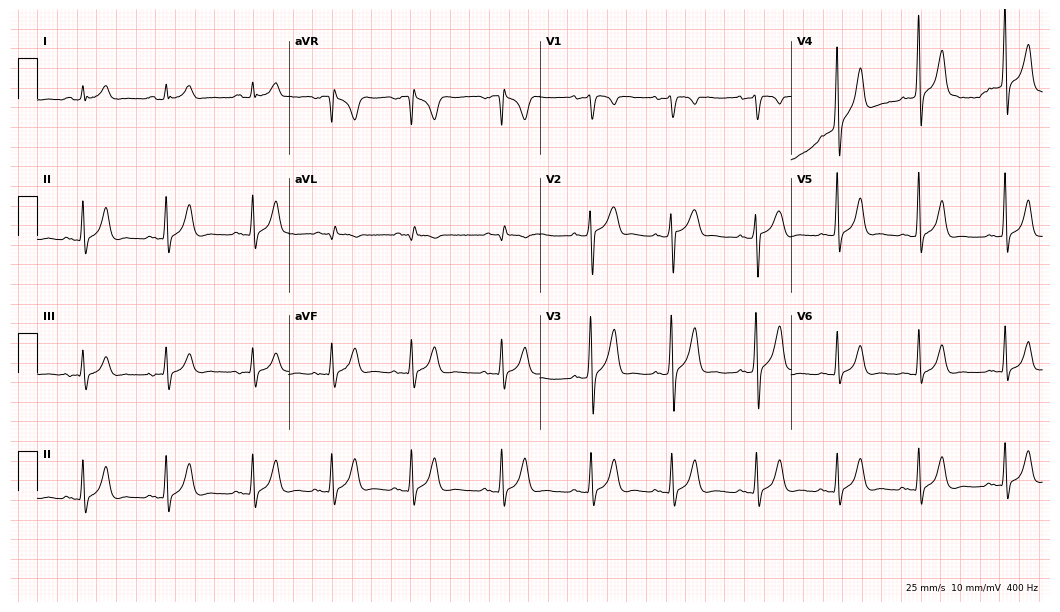
Standard 12-lead ECG recorded from a male, 23 years old (10.2-second recording at 400 Hz). Read as a normal ECG.